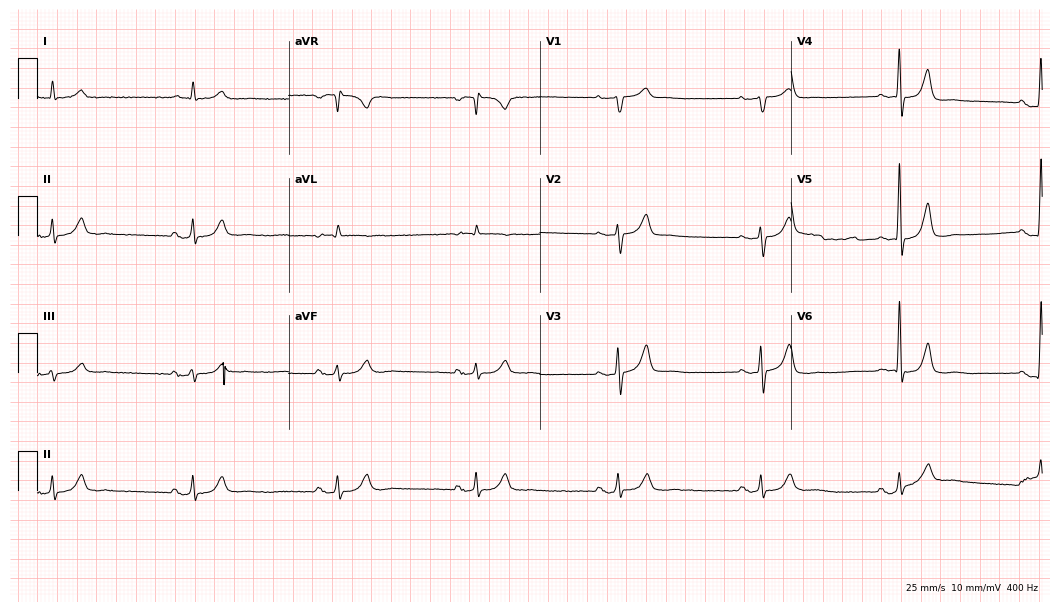
Resting 12-lead electrocardiogram. Patient: a man, 81 years old. The tracing shows sinus bradycardia (a sinus rate of 50 beats per minute or less).